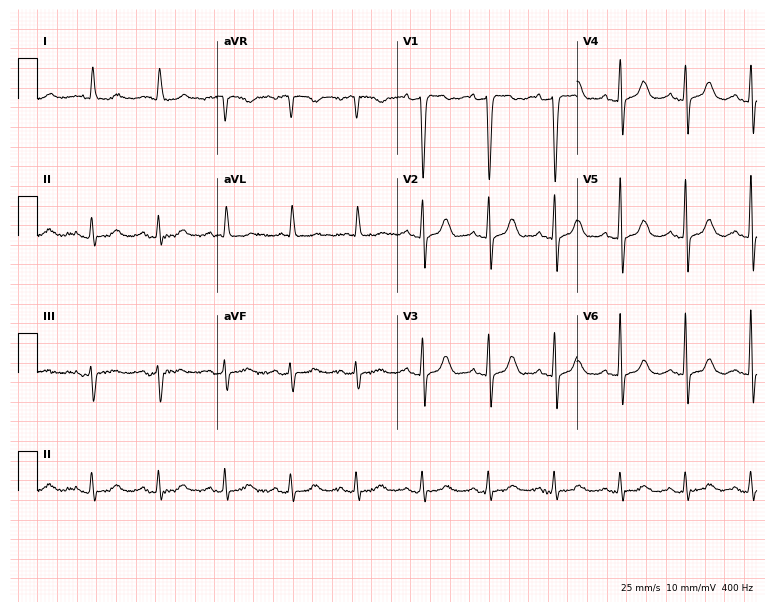
12-lead ECG from an 81-year-old female patient (7.3-second recording at 400 Hz). No first-degree AV block, right bundle branch block, left bundle branch block, sinus bradycardia, atrial fibrillation or sinus tachycardia recorded for this tracing. Findings outside these six are not listed.